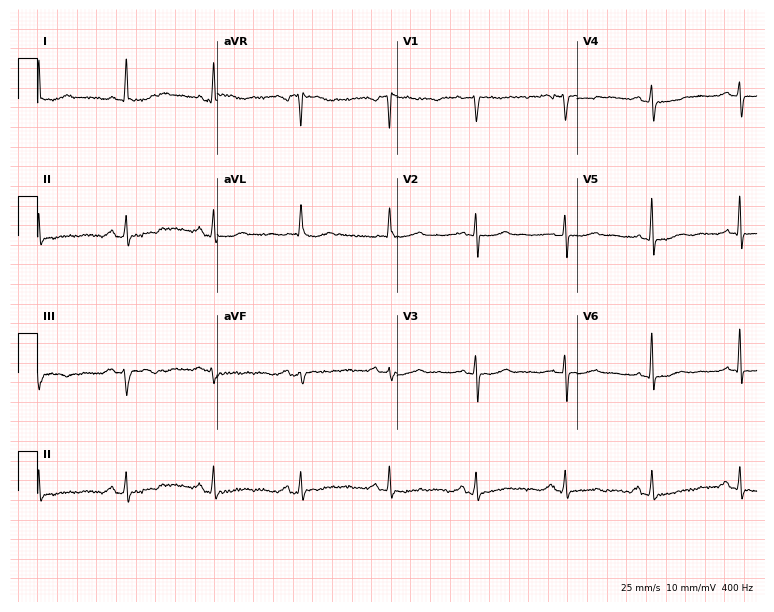
Resting 12-lead electrocardiogram (7.3-second recording at 400 Hz). Patient: a woman, 75 years old. None of these six findings is recorded: first-degree AV block, right bundle branch block, left bundle branch block, sinus bradycardia, atrial fibrillation, sinus tachycardia. Other findings, if any, are not listed.